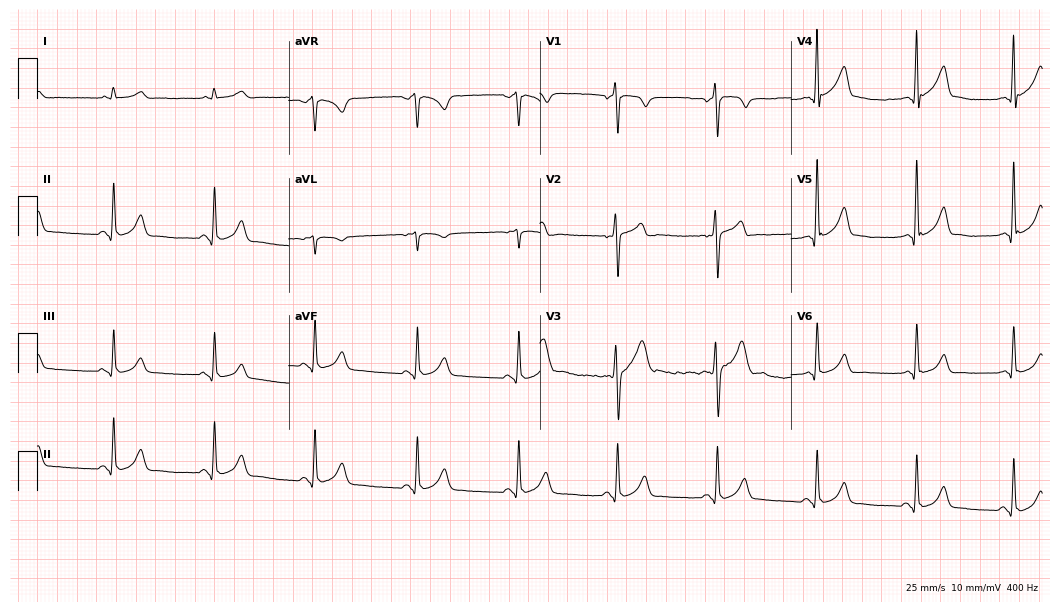
Standard 12-lead ECG recorded from a 36-year-old man (10.2-second recording at 400 Hz). Read as a normal ECG.